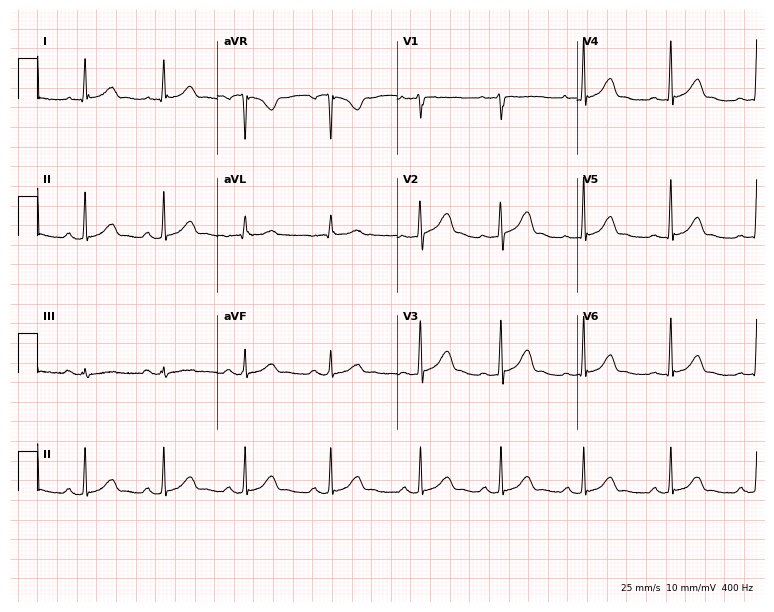
Electrocardiogram, a 30-year-old female. Overall reading on record: normal ECG.